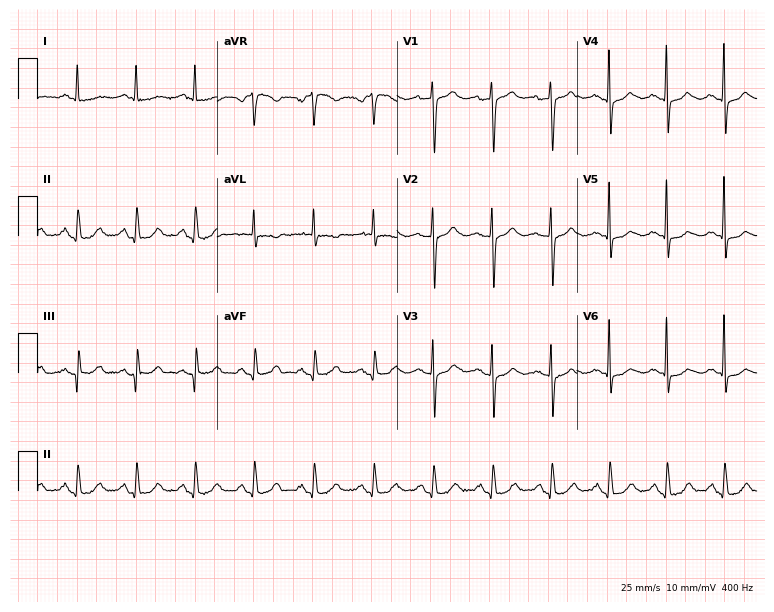
Resting 12-lead electrocardiogram. Patient: a 67-year-old female. The tracing shows sinus tachycardia (a sinus rate of 100 beats per minute or more).